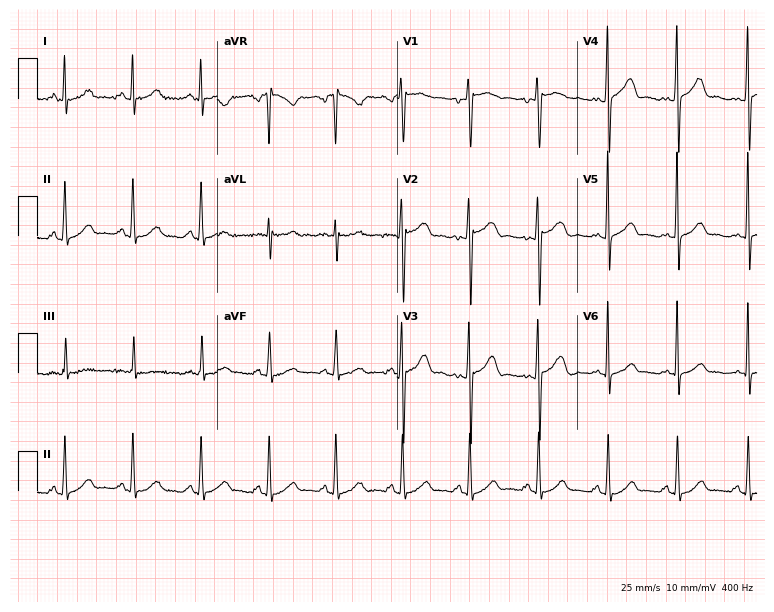
12-lead ECG from a 41-year-old female patient. Recorded interpretation: within normal limits.